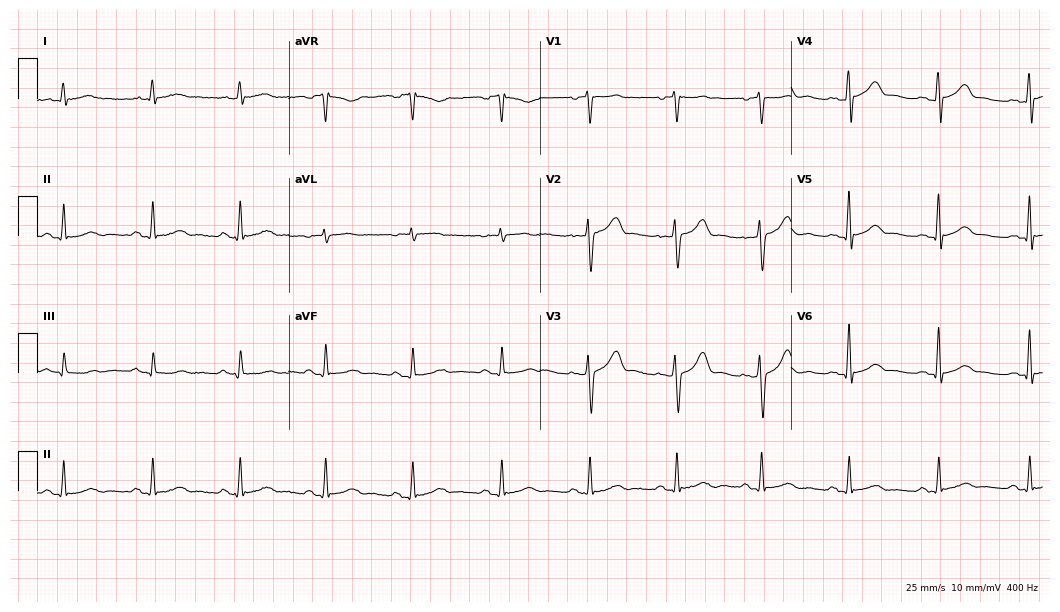
Resting 12-lead electrocardiogram (10.2-second recording at 400 Hz). Patient: a male, 77 years old. None of these six findings is recorded: first-degree AV block, right bundle branch block, left bundle branch block, sinus bradycardia, atrial fibrillation, sinus tachycardia.